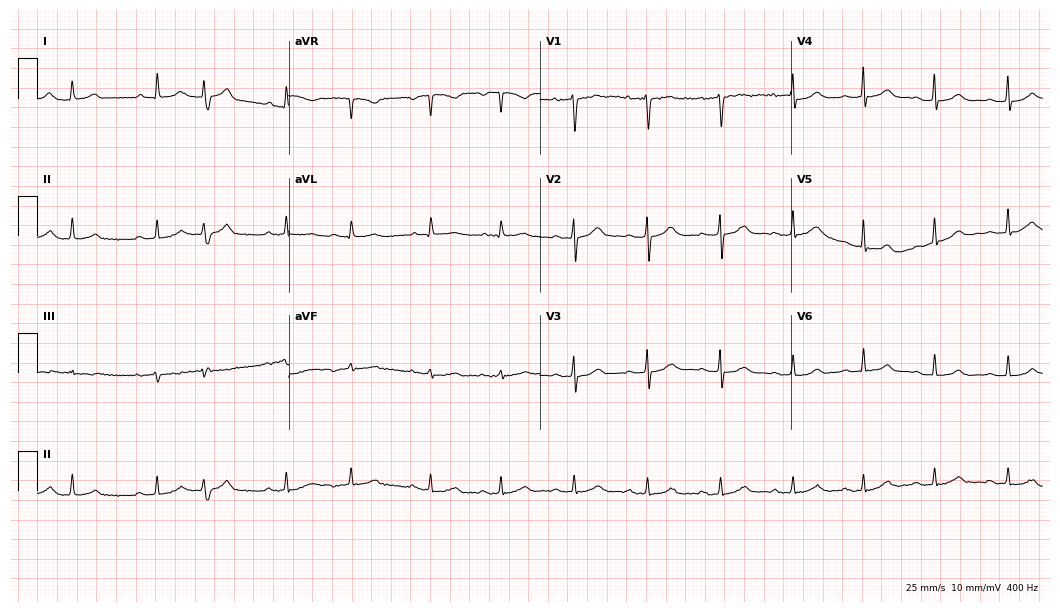
Resting 12-lead electrocardiogram. Patient: a male, 66 years old. Read as a normal ECG.